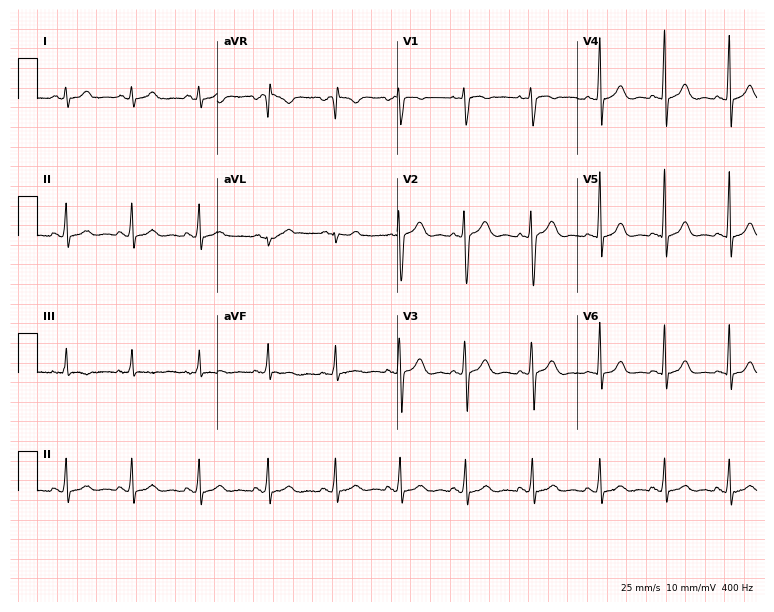
Standard 12-lead ECG recorded from a 21-year-old woman (7.3-second recording at 400 Hz). Read as a normal ECG.